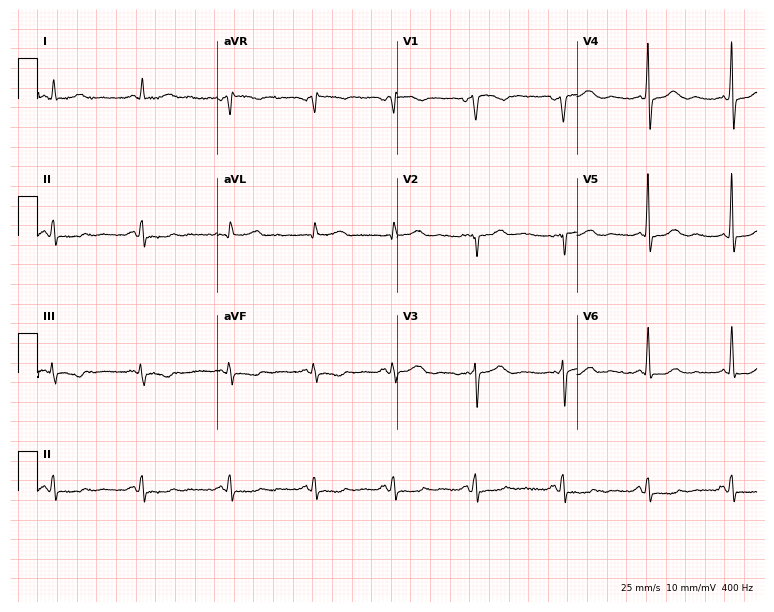
12-lead ECG (7.3-second recording at 400 Hz) from a female patient, 71 years old. Screened for six findings — first-degree AV block, right bundle branch block, left bundle branch block, sinus bradycardia, atrial fibrillation, sinus tachycardia — none is recorded.